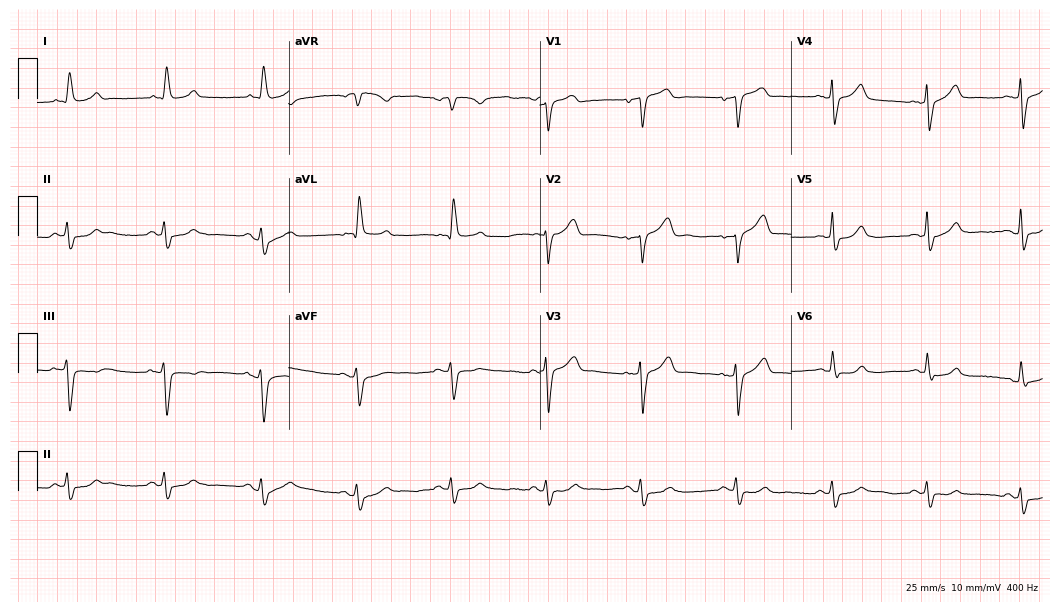
12-lead ECG from a male, 71 years old (10.2-second recording at 400 Hz). No first-degree AV block, right bundle branch block (RBBB), left bundle branch block (LBBB), sinus bradycardia, atrial fibrillation (AF) or sinus tachycardia recorded for this tracing. Findings outside these six are not listed.